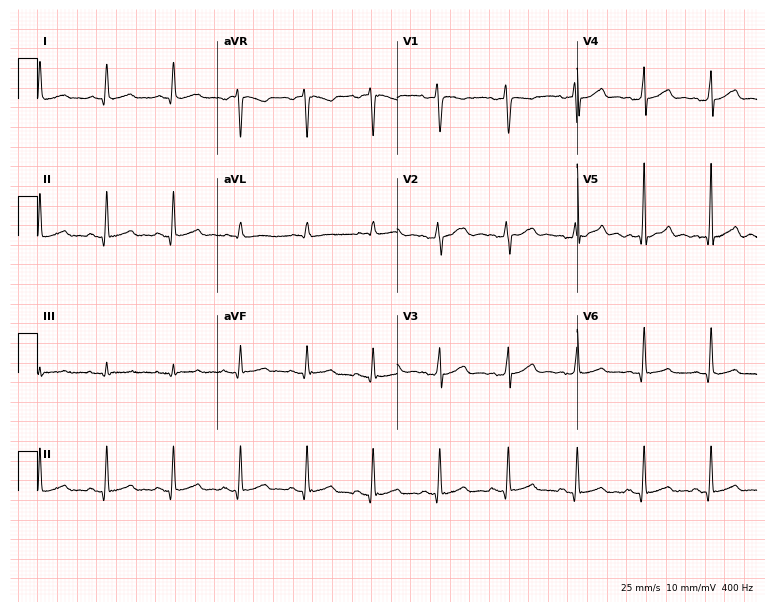
Electrocardiogram (7.3-second recording at 400 Hz), a female, 18 years old. Overall reading on record: normal ECG.